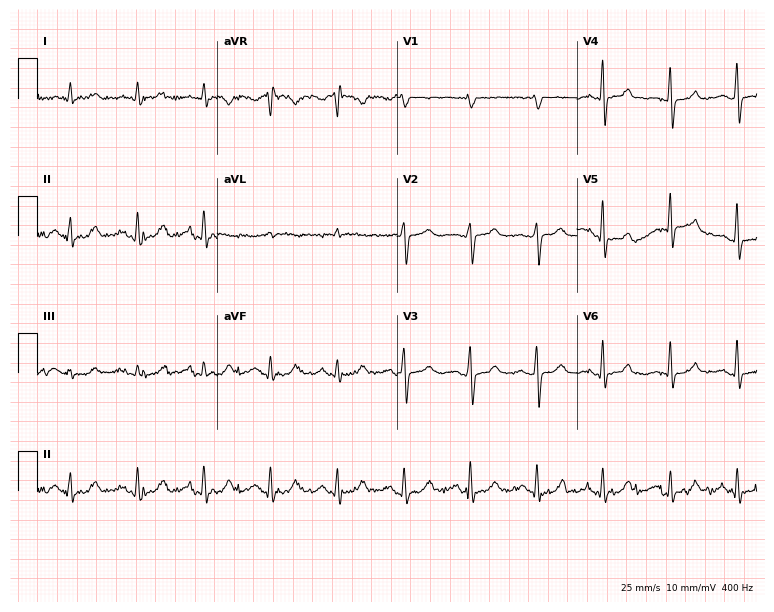
Electrocardiogram (7.3-second recording at 400 Hz), a male patient, 75 years old. Of the six screened findings (first-degree AV block, right bundle branch block (RBBB), left bundle branch block (LBBB), sinus bradycardia, atrial fibrillation (AF), sinus tachycardia), none is recorded.